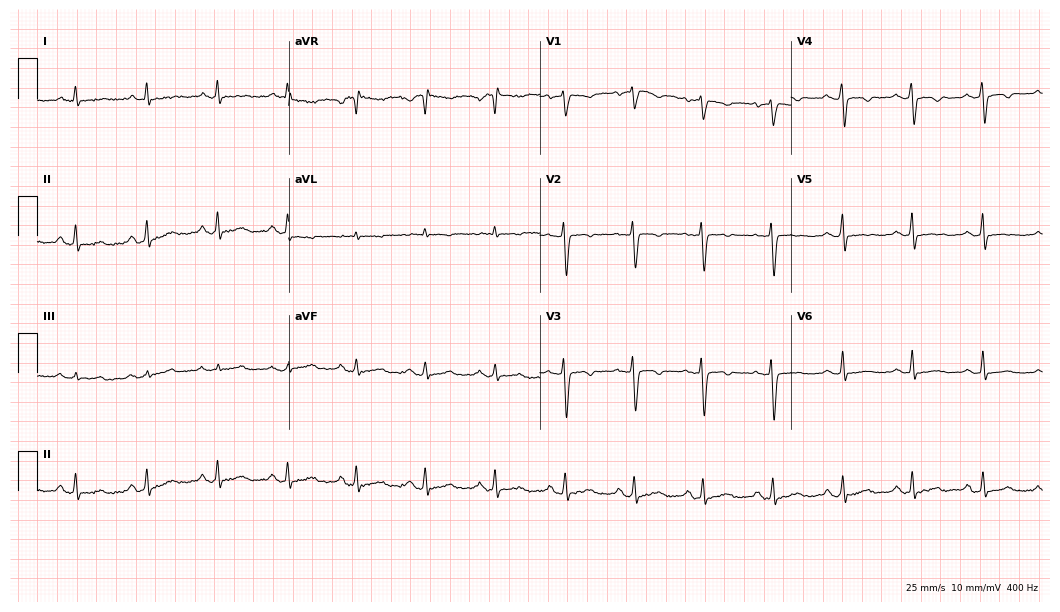
Resting 12-lead electrocardiogram (10.2-second recording at 400 Hz). Patient: a female, 38 years old. None of these six findings is recorded: first-degree AV block, right bundle branch block, left bundle branch block, sinus bradycardia, atrial fibrillation, sinus tachycardia. Only these six findings were labelled.